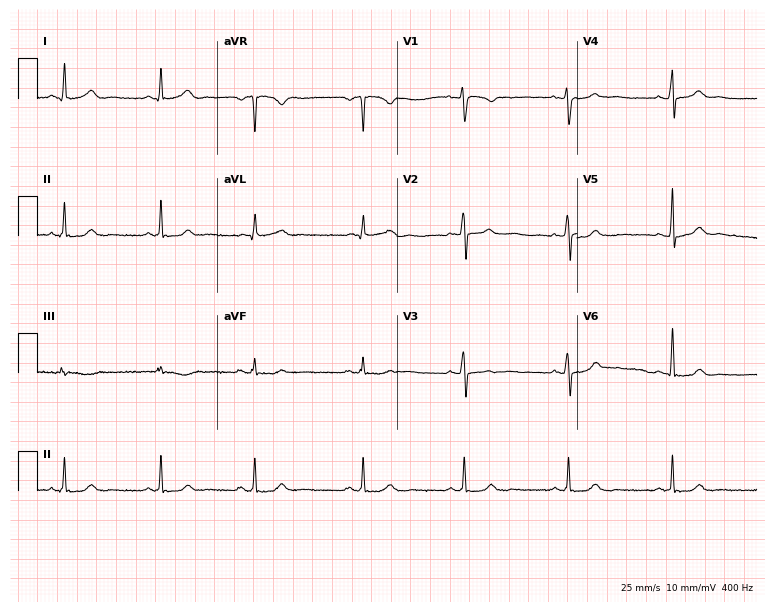
Standard 12-lead ECG recorded from a 38-year-old woman (7.3-second recording at 400 Hz). None of these six findings is recorded: first-degree AV block, right bundle branch block, left bundle branch block, sinus bradycardia, atrial fibrillation, sinus tachycardia.